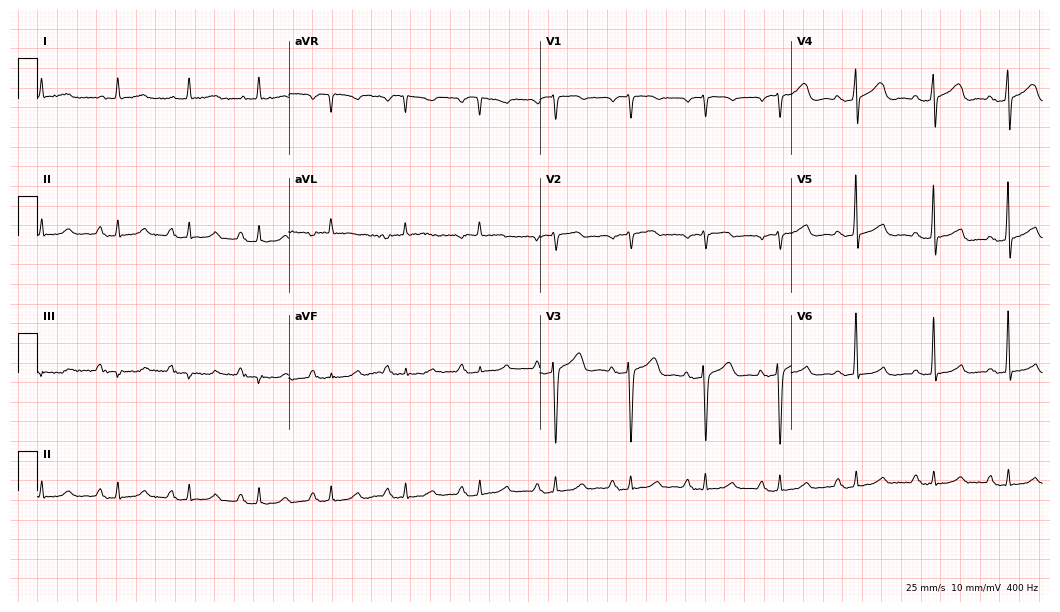
Standard 12-lead ECG recorded from a female, 78 years old (10.2-second recording at 400 Hz). Read as a normal ECG.